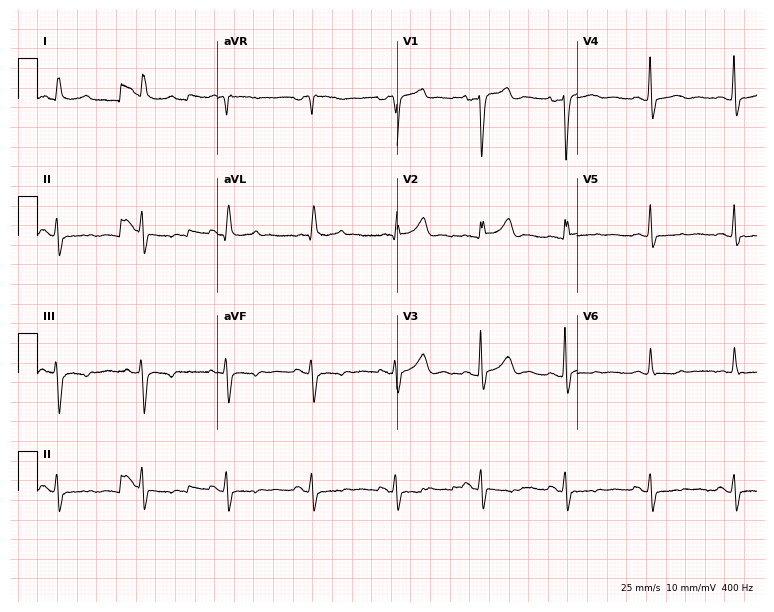
Electrocardiogram, a male, 59 years old. Of the six screened findings (first-degree AV block, right bundle branch block (RBBB), left bundle branch block (LBBB), sinus bradycardia, atrial fibrillation (AF), sinus tachycardia), none is recorded.